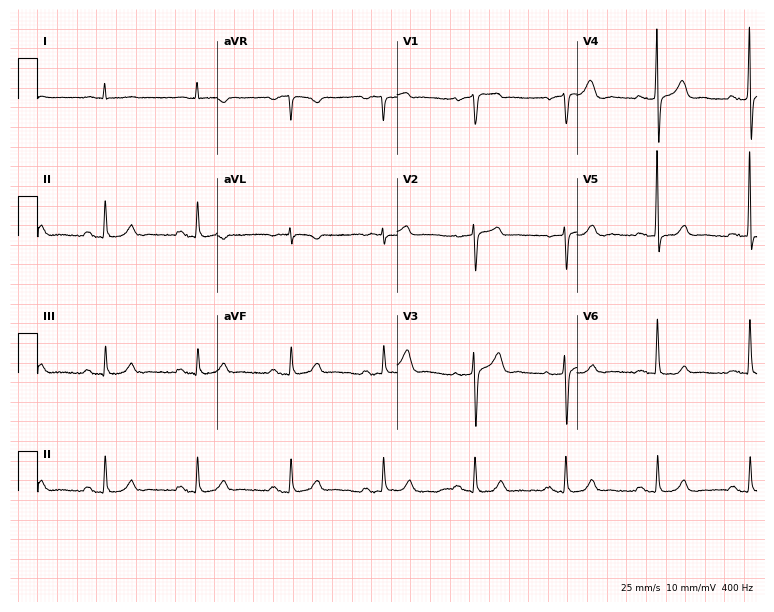
Electrocardiogram (7.3-second recording at 400 Hz), a man, 75 years old. Overall reading on record: normal ECG.